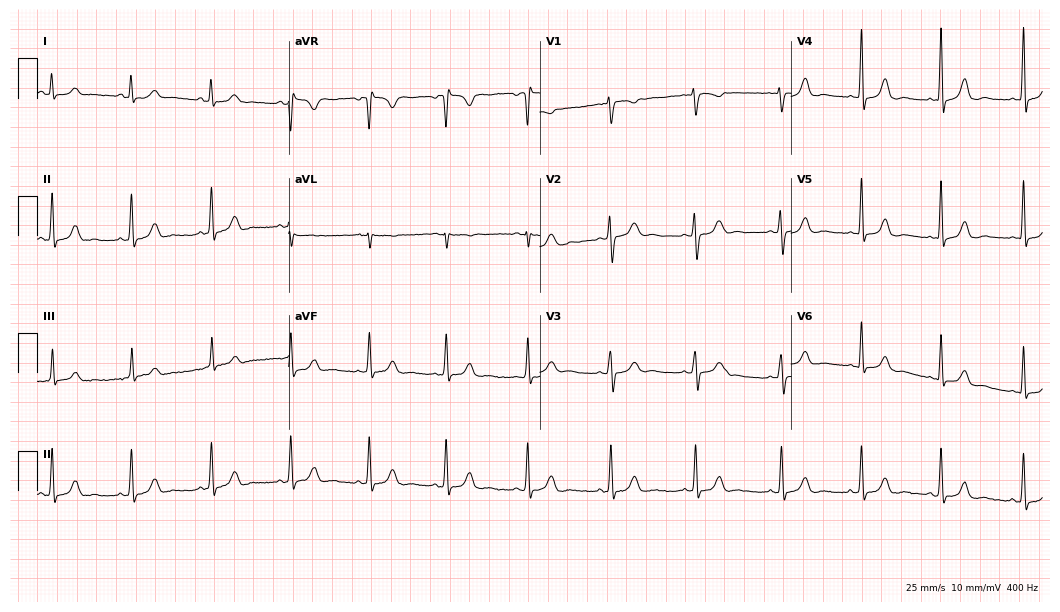
Electrocardiogram (10.2-second recording at 400 Hz), a 36-year-old female patient. Overall reading on record: normal ECG.